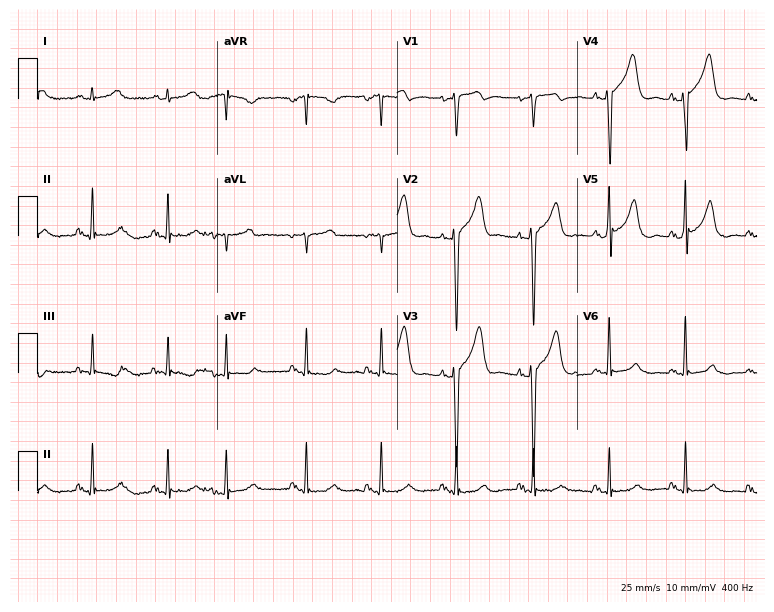
12-lead ECG (7.3-second recording at 400 Hz) from a male patient, 80 years old. Screened for six findings — first-degree AV block, right bundle branch block (RBBB), left bundle branch block (LBBB), sinus bradycardia, atrial fibrillation (AF), sinus tachycardia — none is recorded. Only these six findings were labelled.